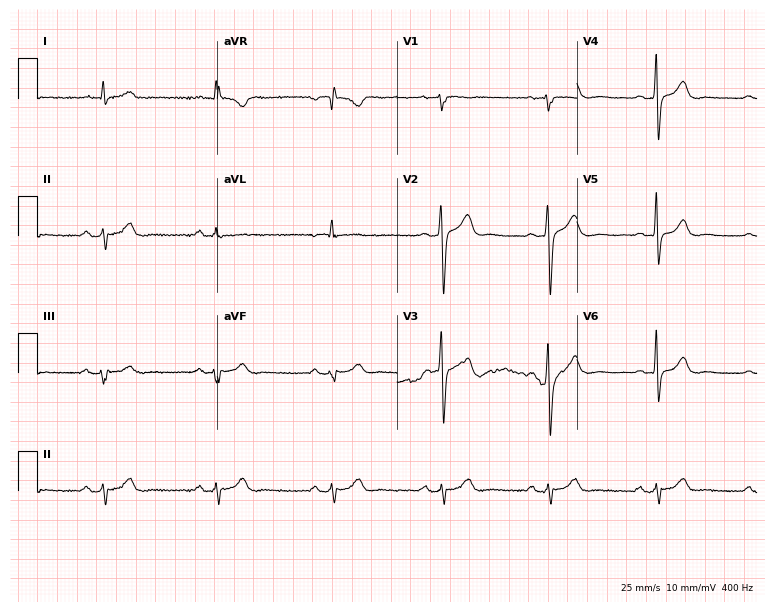
Electrocardiogram, a man, 44 years old. Of the six screened findings (first-degree AV block, right bundle branch block, left bundle branch block, sinus bradycardia, atrial fibrillation, sinus tachycardia), none is recorded. Findings outside these six are not listed.